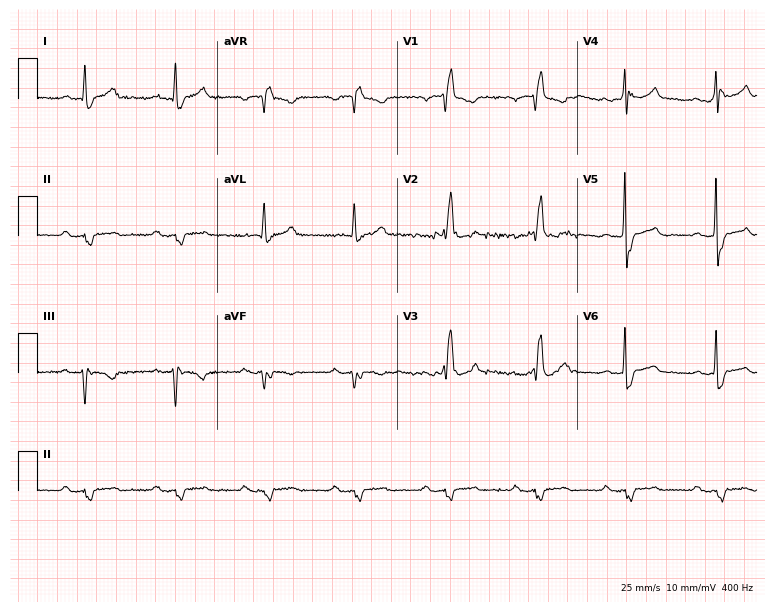
12-lead ECG from a male patient, 55 years old (7.3-second recording at 400 Hz). Shows first-degree AV block, right bundle branch block.